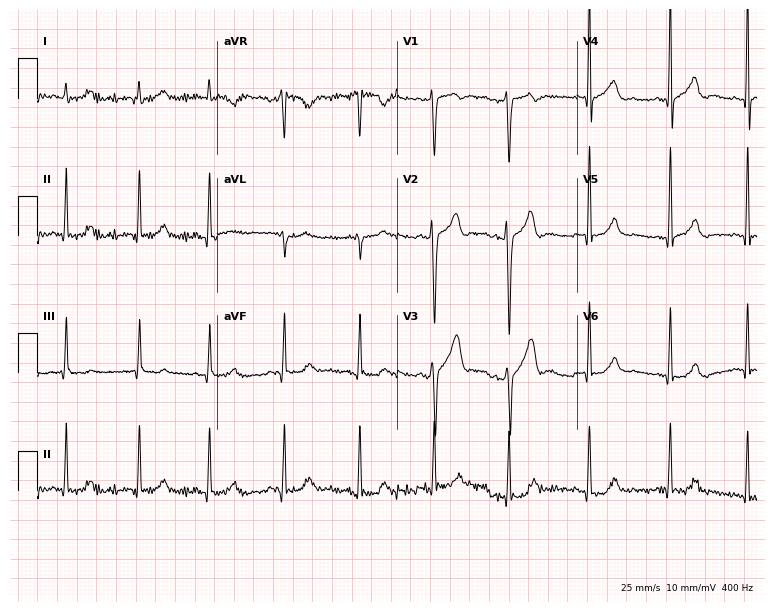
Electrocardiogram (7.3-second recording at 400 Hz), a 30-year-old male. Overall reading on record: normal ECG.